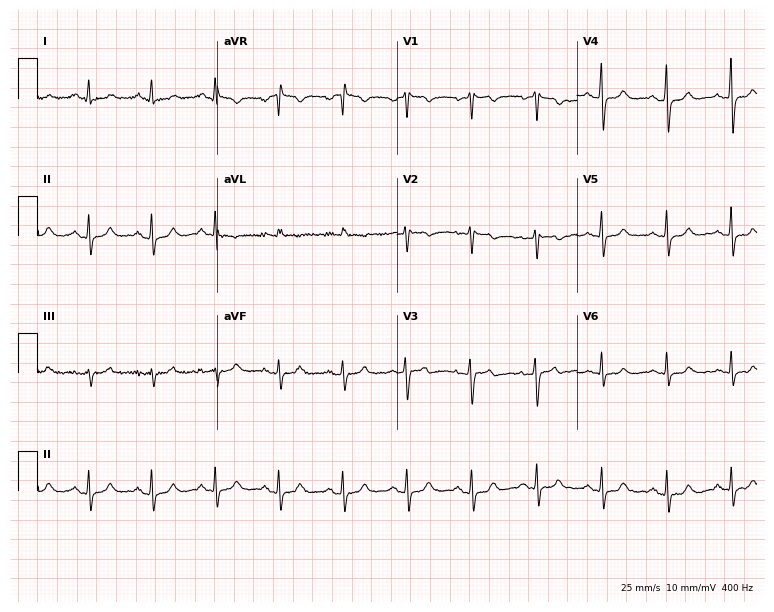
Resting 12-lead electrocardiogram (7.3-second recording at 400 Hz). Patient: a female, 45 years old. Read as a normal ECG.